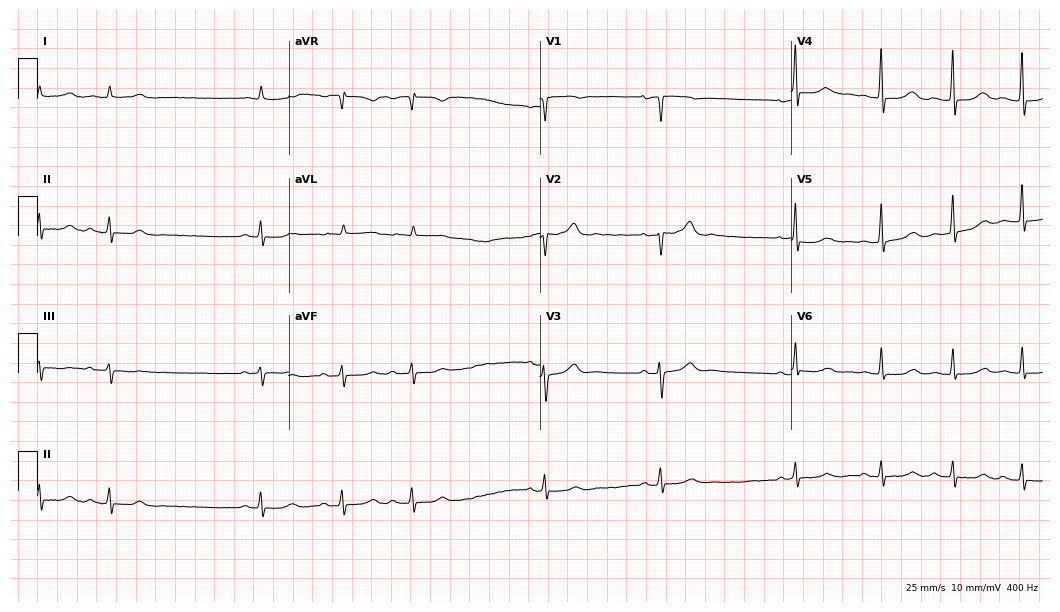
12-lead ECG from an 82-year-old female. Screened for six findings — first-degree AV block, right bundle branch block, left bundle branch block, sinus bradycardia, atrial fibrillation, sinus tachycardia — none is recorded. Findings outside these six are not listed.